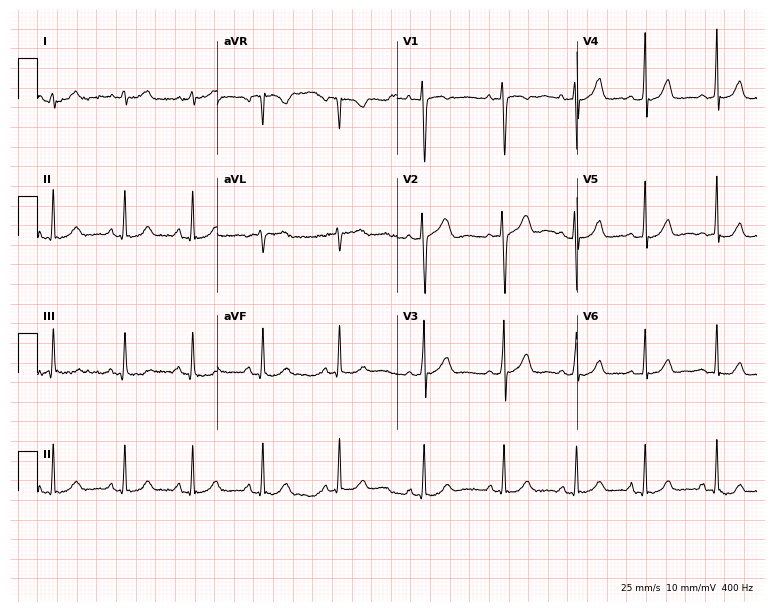
Standard 12-lead ECG recorded from a female patient, 27 years old (7.3-second recording at 400 Hz). None of these six findings is recorded: first-degree AV block, right bundle branch block, left bundle branch block, sinus bradycardia, atrial fibrillation, sinus tachycardia. Findings outside these six are not listed.